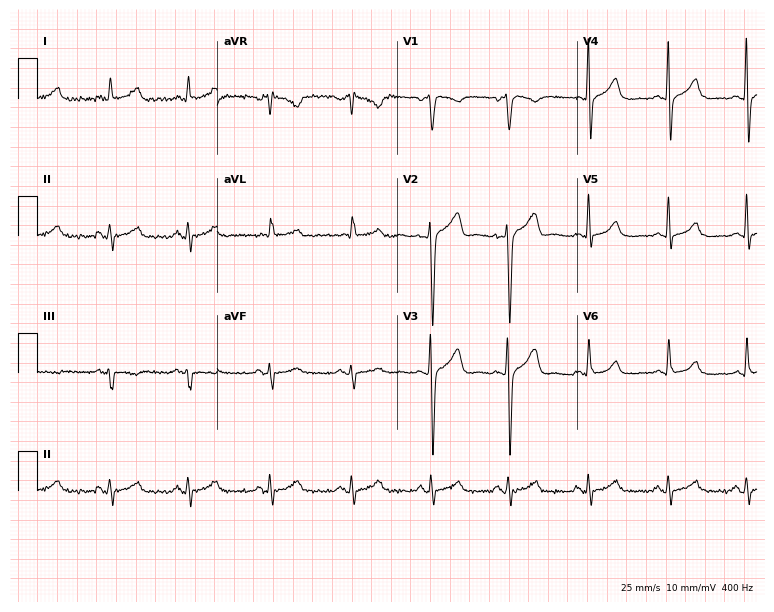
Resting 12-lead electrocardiogram. Patient: a man, 45 years old. Read as a normal ECG.